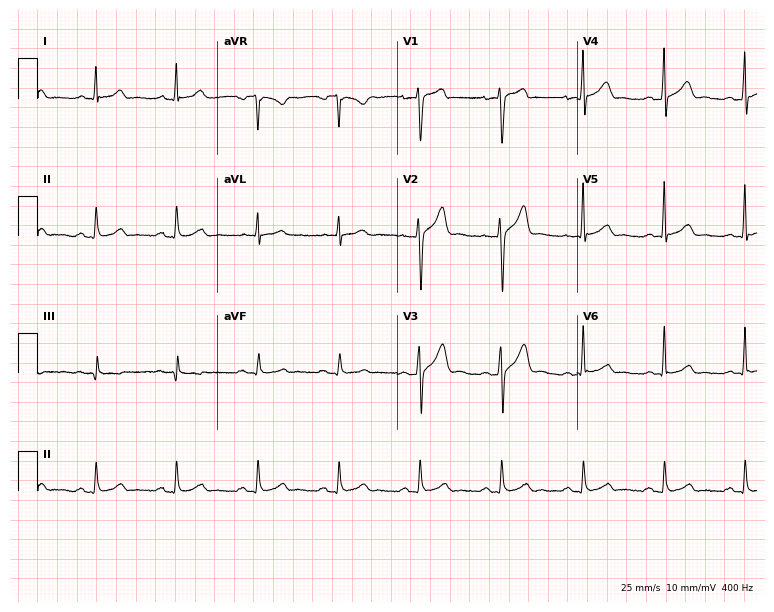
12-lead ECG from a 37-year-old man (7.3-second recording at 400 Hz). No first-degree AV block, right bundle branch block (RBBB), left bundle branch block (LBBB), sinus bradycardia, atrial fibrillation (AF) or sinus tachycardia recorded for this tracing.